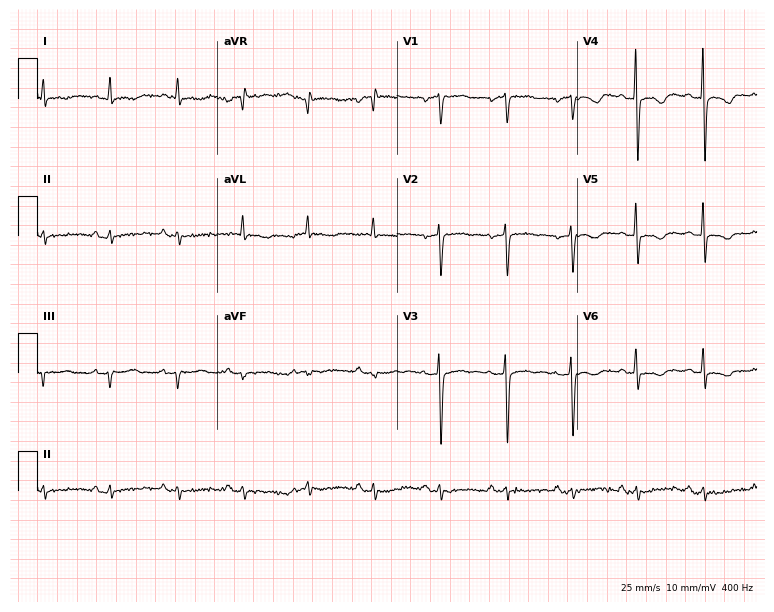
12-lead ECG (7.3-second recording at 400 Hz) from a 78-year-old female patient. Screened for six findings — first-degree AV block, right bundle branch block, left bundle branch block, sinus bradycardia, atrial fibrillation, sinus tachycardia — none is recorded. Findings outside these six are not listed.